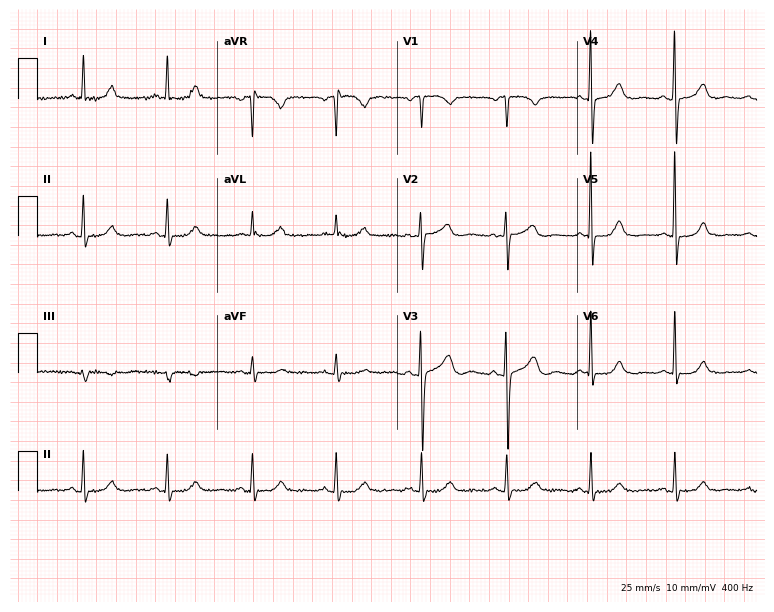
Resting 12-lead electrocardiogram (7.3-second recording at 400 Hz). Patient: a 77-year-old female. Read as a normal ECG.